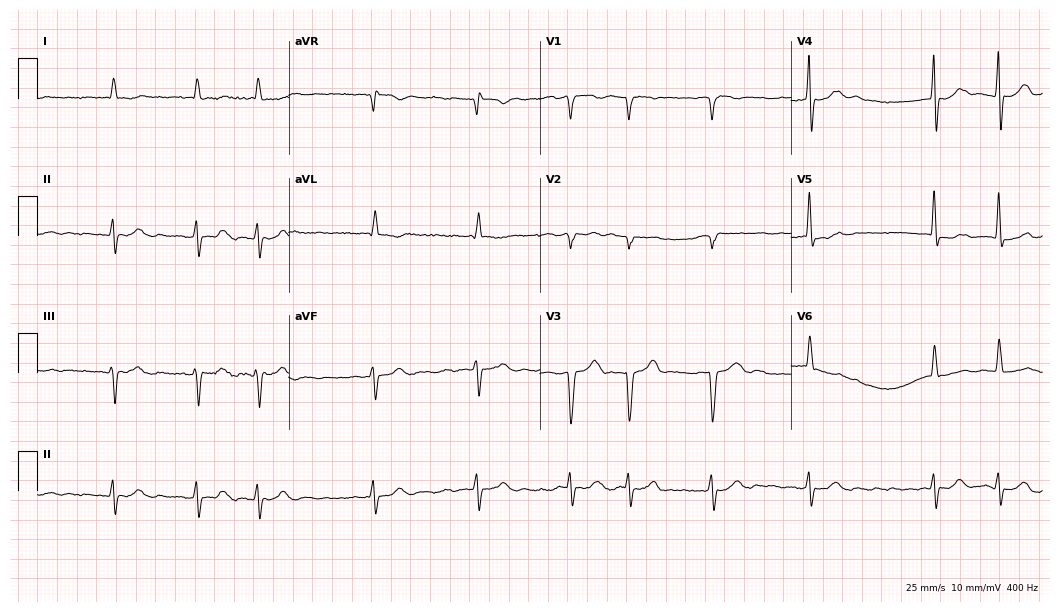
Resting 12-lead electrocardiogram. Patient: an 87-year-old man. The tracing shows atrial fibrillation.